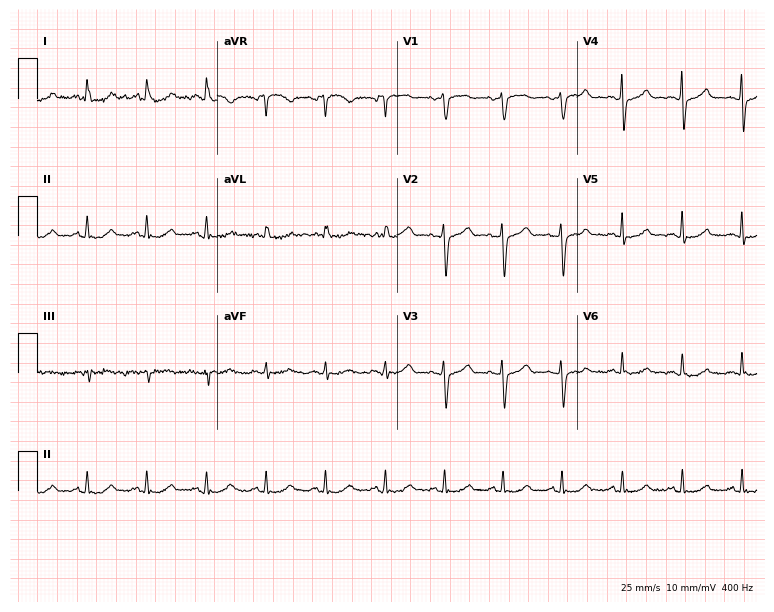
Electrocardiogram (7.3-second recording at 400 Hz), a female, 52 years old. Of the six screened findings (first-degree AV block, right bundle branch block (RBBB), left bundle branch block (LBBB), sinus bradycardia, atrial fibrillation (AF), sinus tachycardia), none is recorded. Other findings, if any, are not listed.